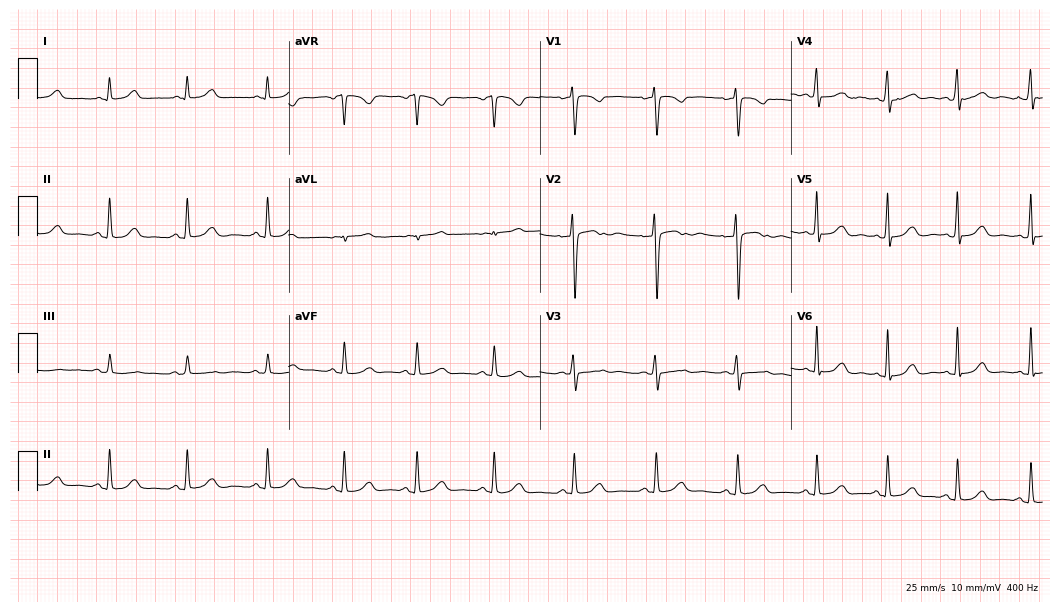
12-lead ECG from a 37-year-old woman. Labelled as a normal ECG.